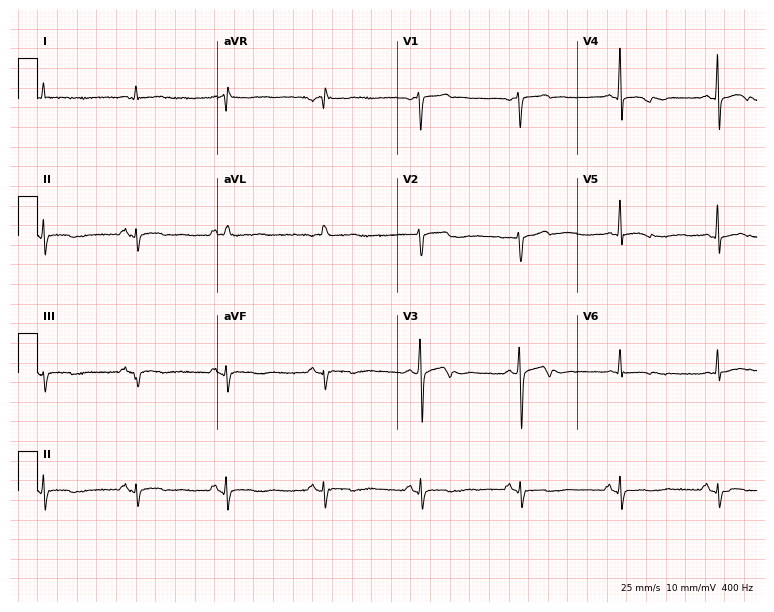
Resting 12-lead electrocardiogram. Patient: an 82-year-old male. None of these six findings is recorded: first-degree AV block, right bundle branch block, left bundle branch block, sinus bradycardia, atrial fibrillation, sinus tachycardia. Only these six findings were labelled.